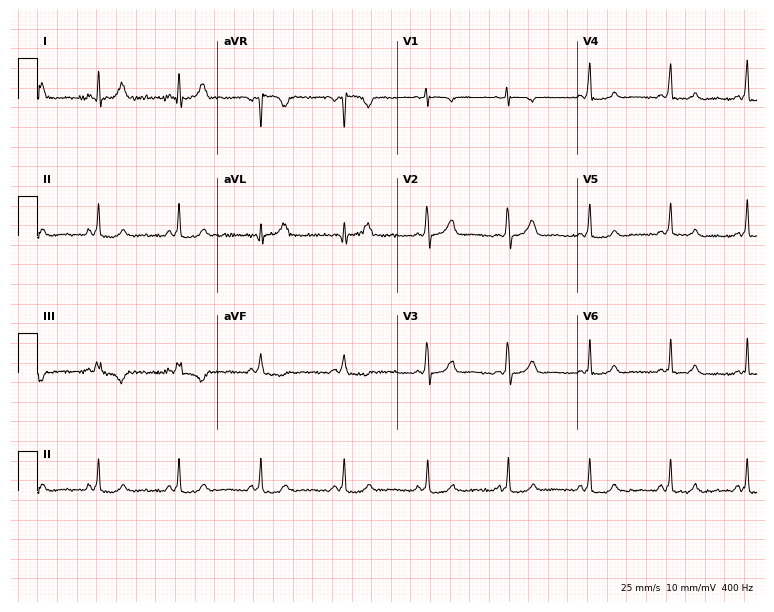
12-lead ECG from a female patient, 18 years old. Screened for six findings — first-degree AV block, right bundle branch block, left bundle branch block, sinus bradycardia, atrial fibrillation, sinus tachycardia — none is recorded.